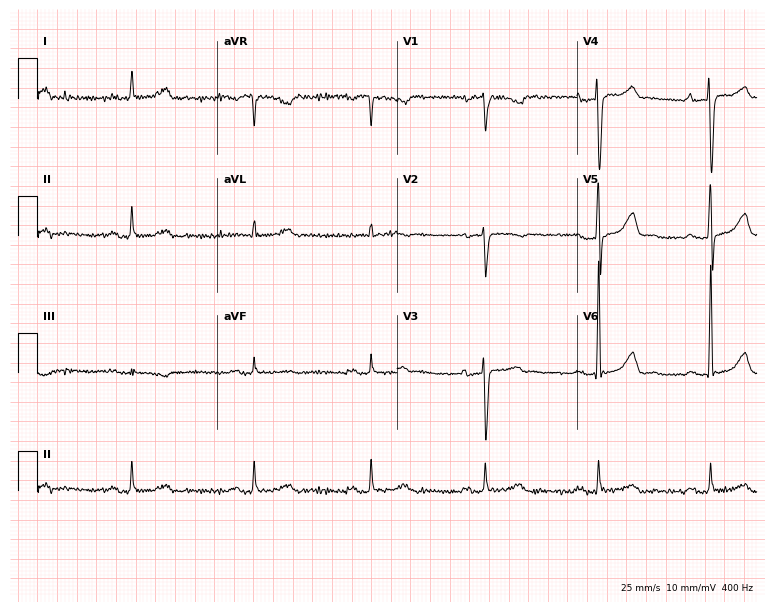
12-lead ECG from a male patient, 60 years old (7.3-second recording at 400 Hz). No first-degree AV block, right bundle branch block (RBBB), left bundle branch block (LBBB), sinus bradycardia, atrial fibrillation (AF) or sinus tachycardia recorded for this tracing.